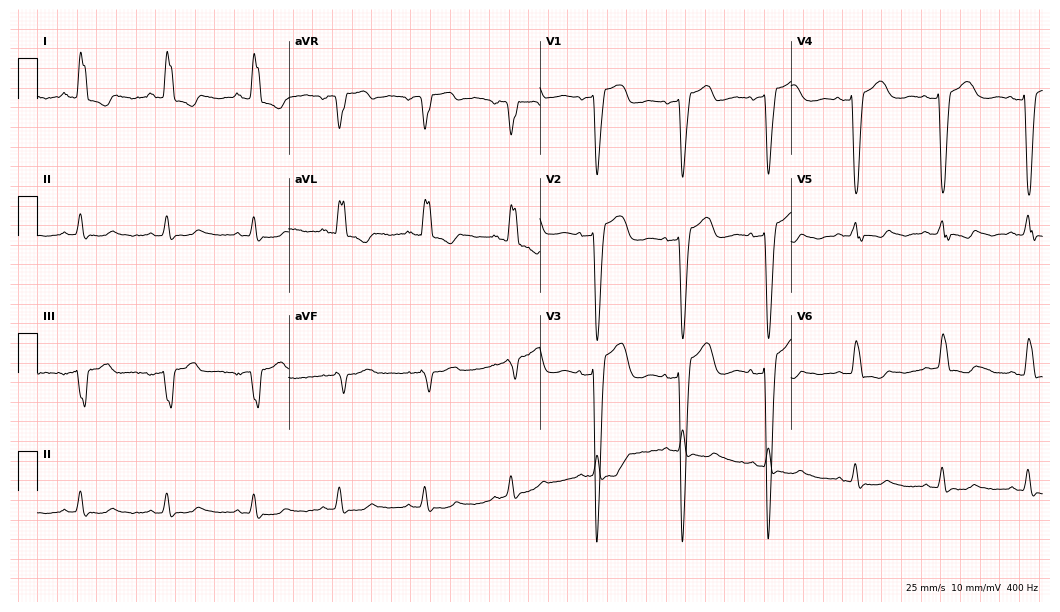
Resting 12-lead electrocardiogram. Patient: a 67-year-old female. The tracing shows left bundle branch block.